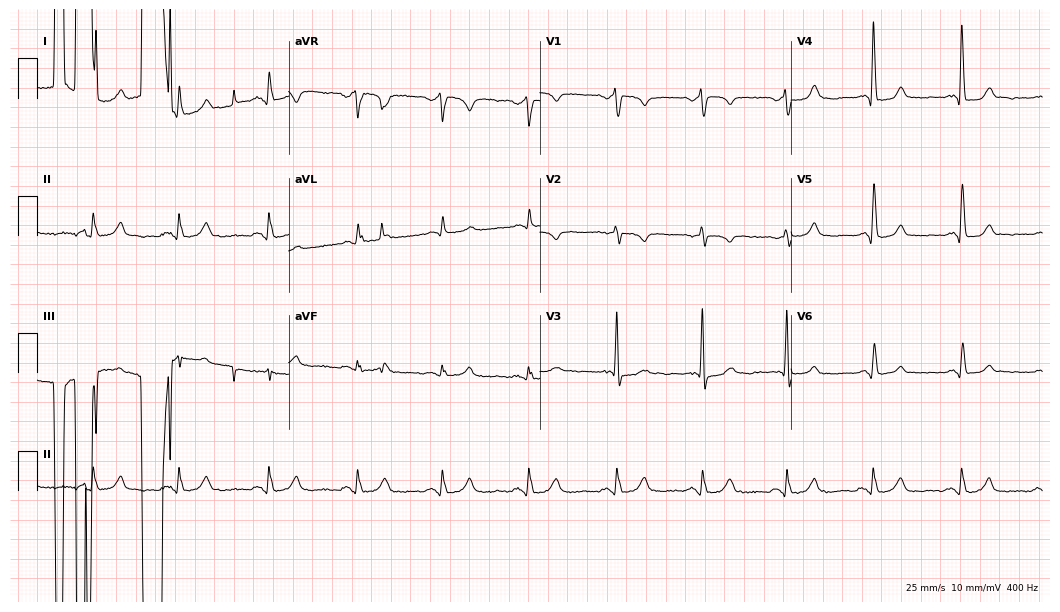
12-lead ECG from a female, 73 years old (10.2-second recording at 400 Hz). No first-degree AV block, right bundle branch block, left bundle branch block, sinus bradycardia, atrial fibrillation or sinus tachycardia recorded for this tracing.